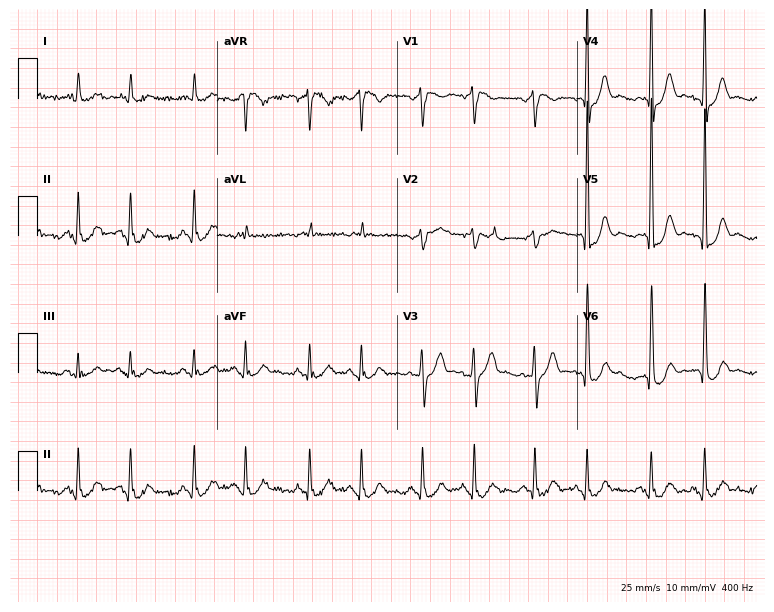
12-lead ECG (7.3-second recording at 400 Hz) from a 75-year-old male. Findings include sinus tachycardia (a sinus rate of 100 beats per minute or more).